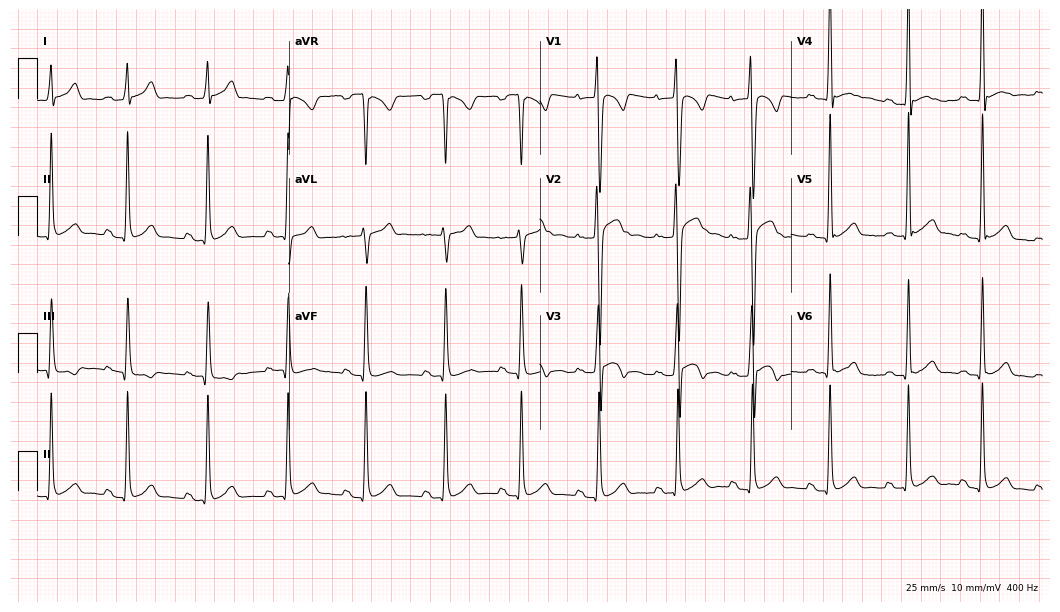
Resting 12-lead electrocardiogram. Patient: a male, 17 years old. None of these six findings is recorded: first-degree AV block, right bundle branch block (RBBB), left bundle branch block (LBBB), sinus bradycardia, atrial fibrillation (AF), sinus tachycardia. Only these six findings were labelled.